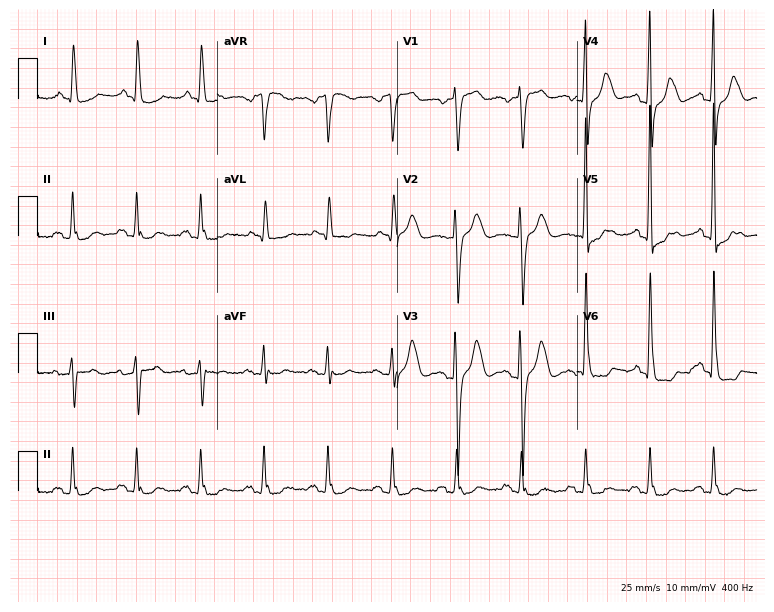
Electrocardiogram (7.3-second recording at 400 Hz), a woman, 76 years old. Of the six screened findings (first-degree AV block, right bundle branch block, left bundle branch block, sinus bradycardia, atrial fibrillation, sinus tachycardia), none is recorded. Findings outside these six are not listed.